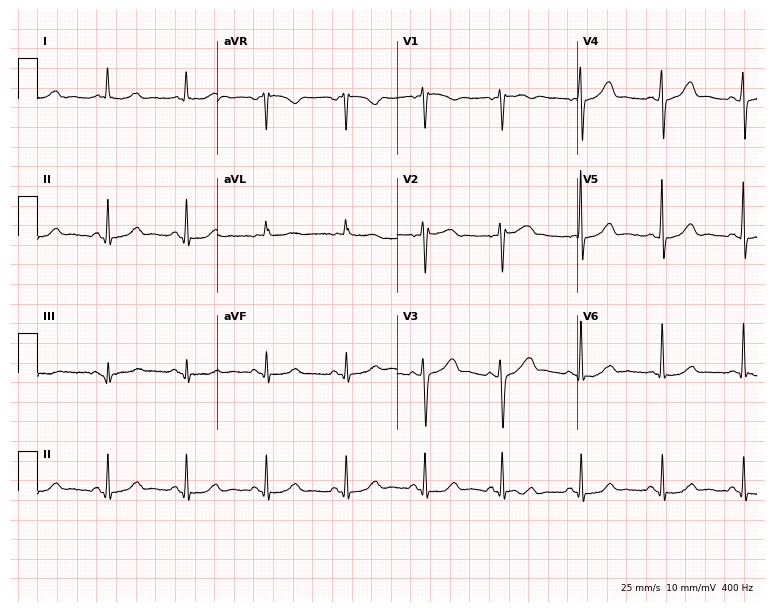
ECG — a 52-year-old female patient. Labelled as a normal ECG.